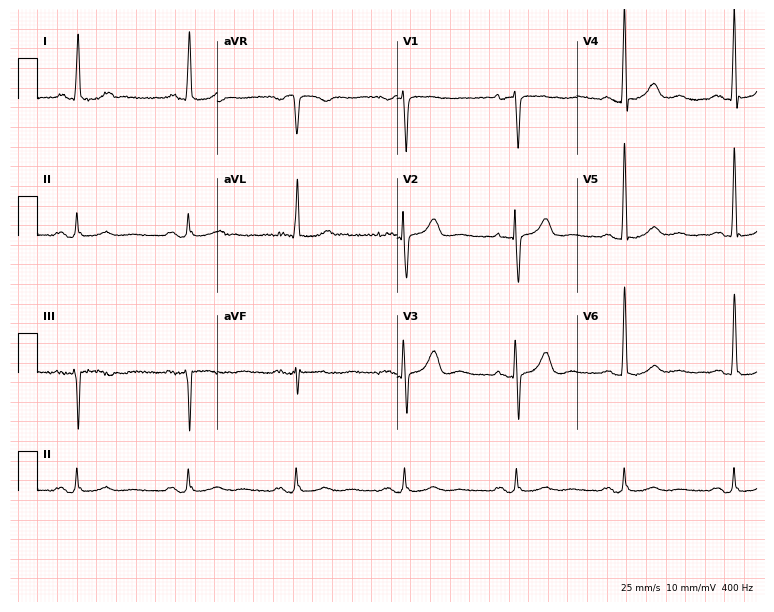
Electrocardiogram (7.3-second recording at 400 Hz), a 72-year-old female. Of the six screened findings (first-degree AV block, right bundle branch block, left bundle branch block, sinus bradycardia, atrial fibrillation, sinus tachycardia), none is recorded. Other findings, if any, are not listed.